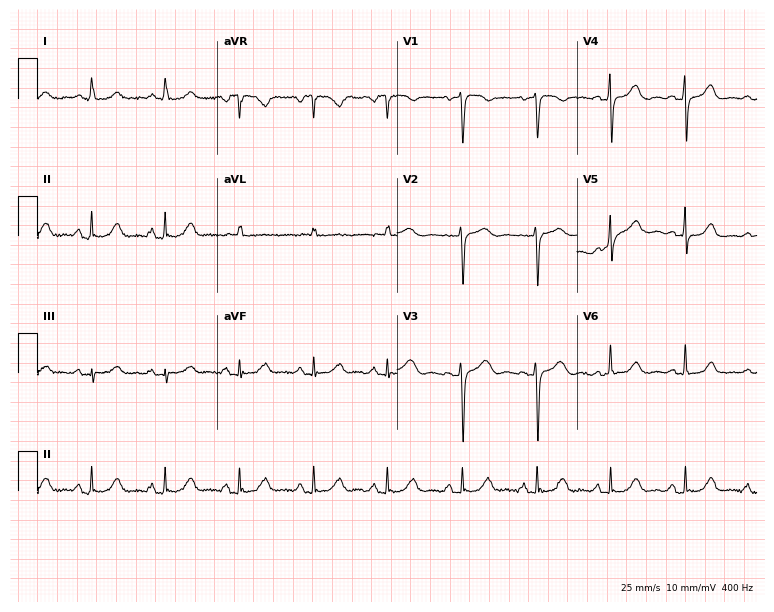
12-lead ECG from a woman, 74 years old (7.3-second recording at 400 Hz). Recorded interpretation: within normal limits.